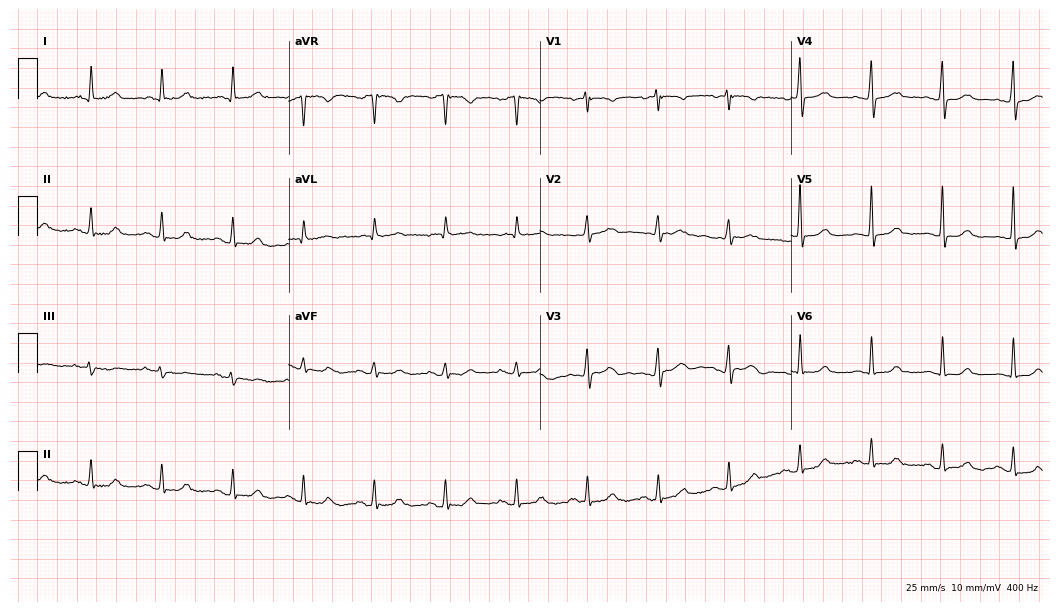
Electrocardiogram, a 68-year-old woman. Overall reading on record: normal ECG.